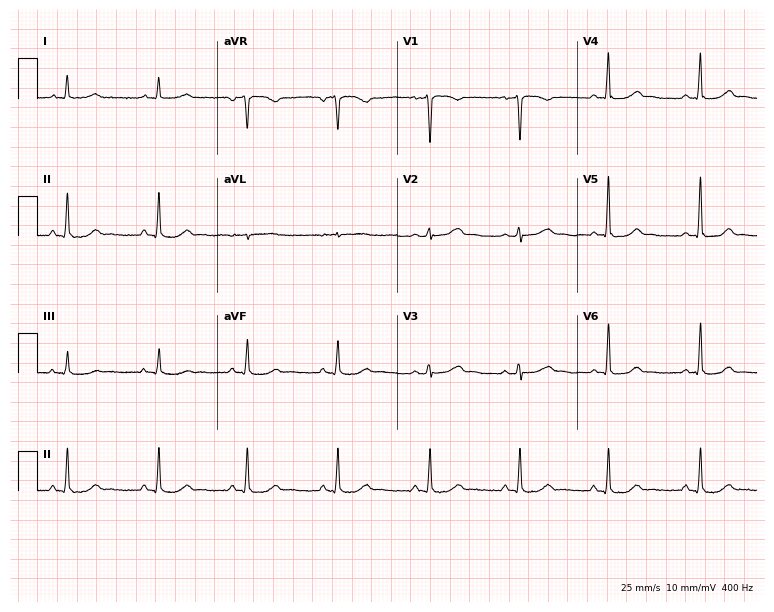
12-lead ECG from a 57-year-old female patient. No first-degree AV block, right bundle branch block, left bundle branch block, sinus bradycardia, atrial fibrillation or sinus tachycardia recorded for this tracing.